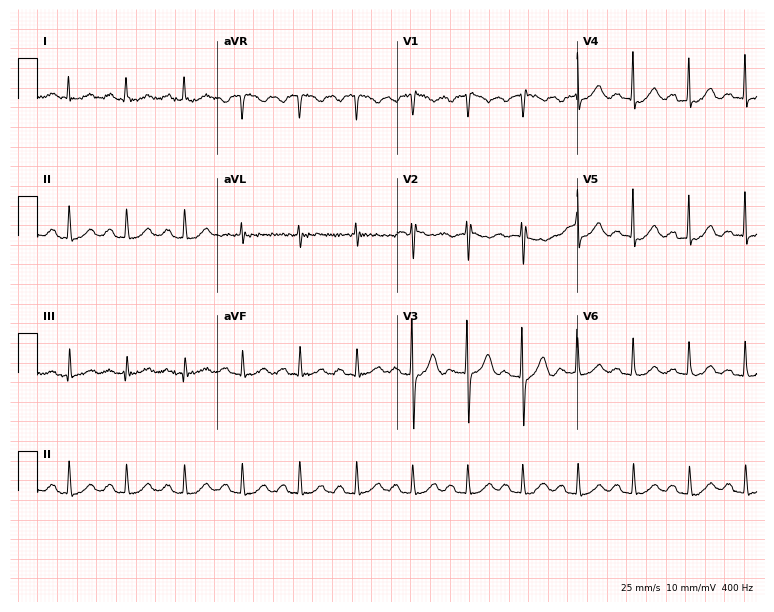
12-lead ECG (7.3-second recording at 400 Hz) from a 72-year-old male patient. Findings include sinus tachycardia (a sinus rate of 100 beats per minute or more).